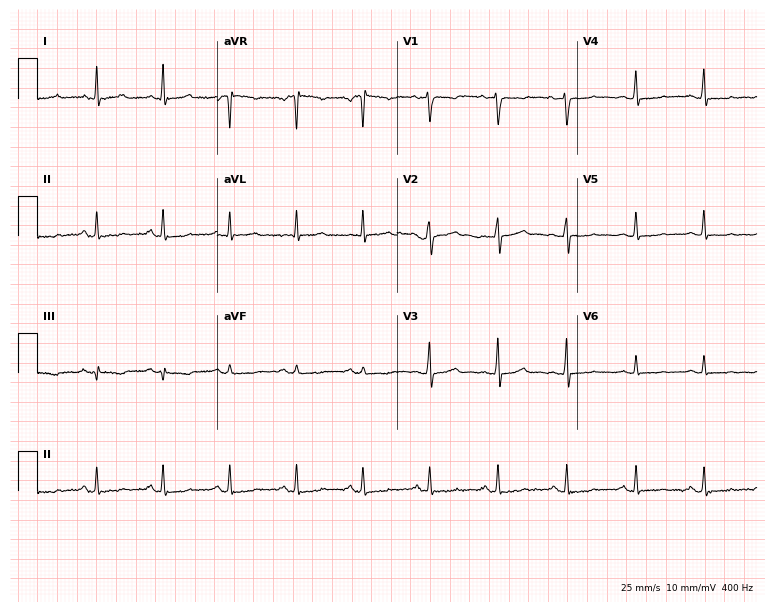
12-lead ECG from a woman, 41 years old (7.3-second recording at 400 Hz). No first-degree AV block, right bundle branch block (RBBB), left bundle branch block (LBBB), sinus bradycardia, atrial fibrillation (AF) or sinus tachycardia recorded for this tracing.